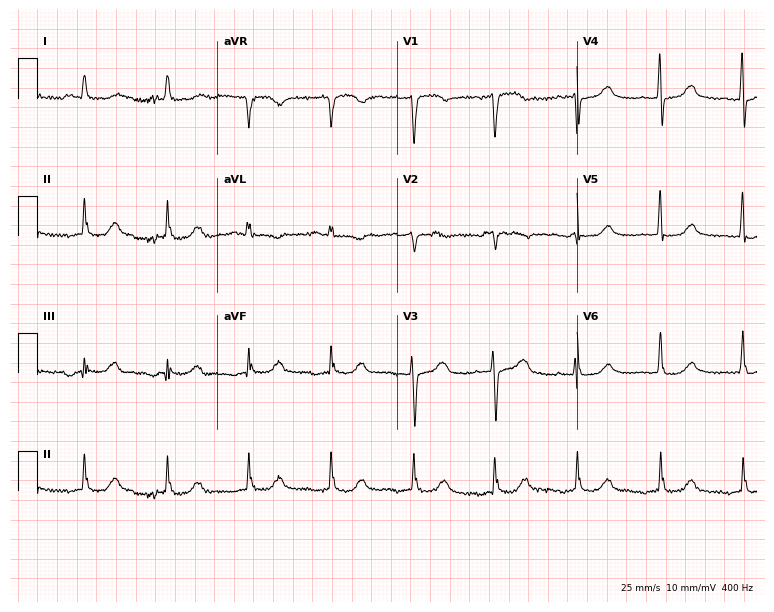
Standard 12-lead ECG recorded from a female, 76 years old. None of these six findings is recorded: first-degree AV block, right bundle branch block (RBBB), left bundle branch block (LBBB), sinus bradycardia, atrial fibrillation (AF), sinus tachycardia. Only these six findings were labelled.